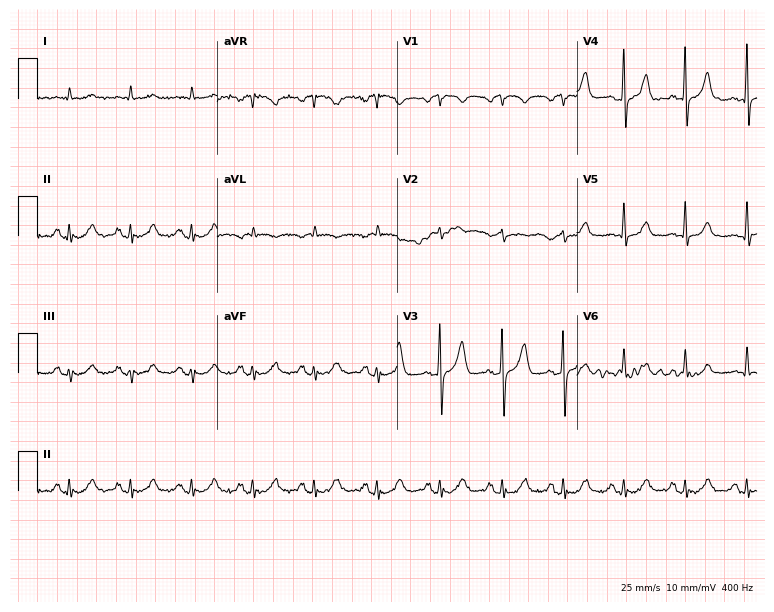
ECG — a 61-year-old male patient. Labelled as a normal ECG.